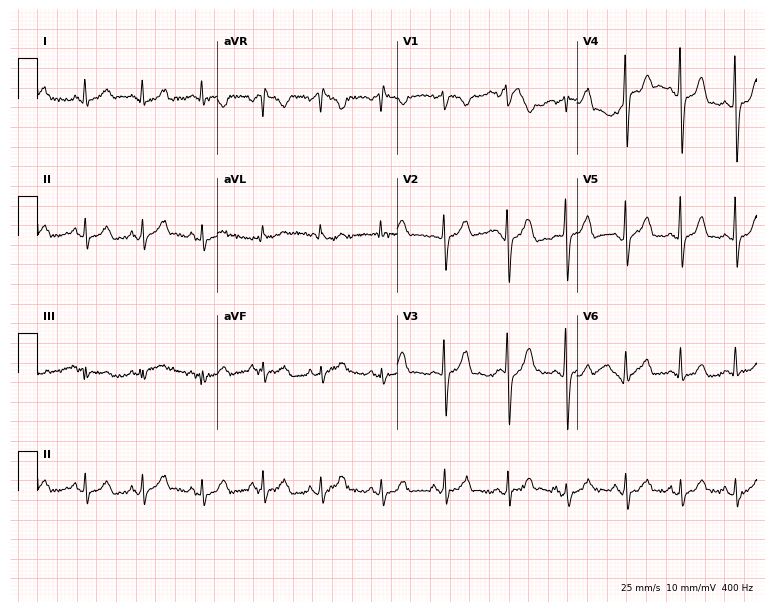
Standard 12-lead ECG recorded from a 20-year-old female. Read as a normal ECG.